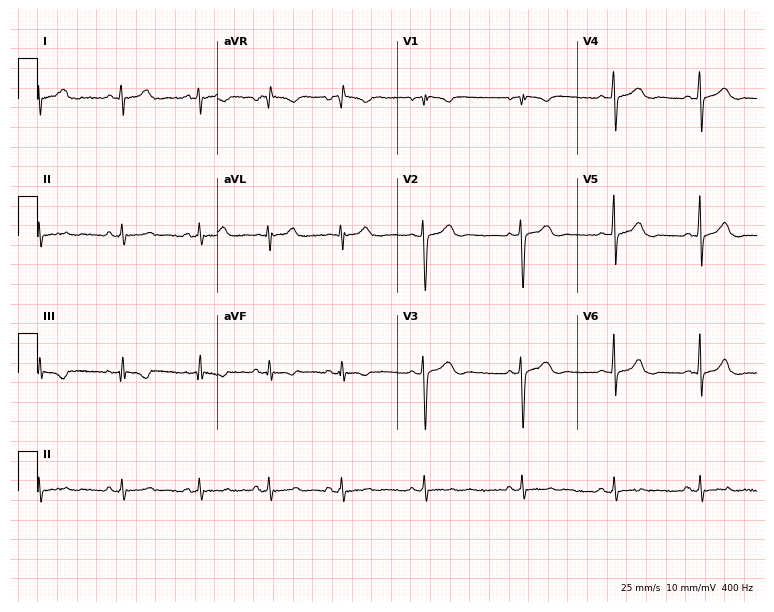
Resting 12-lead electrocardiogram. Patient: a female, 21 years old. None of these six findings is recorded: first-degree AV block, right bundle branch block, left bundle branch block, sinus bradycardia, atrial fibrillation, sinus tachycardia. Other findings, if any, are not listed.